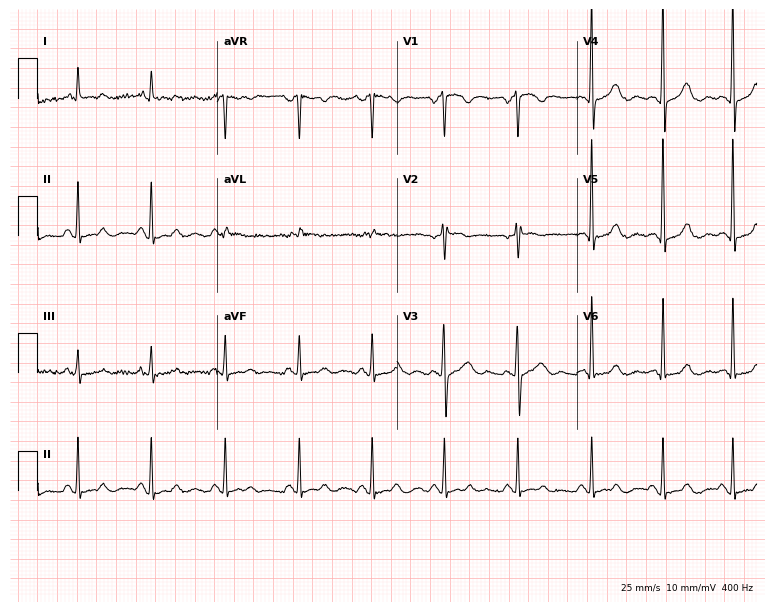
12-lead ECG from a 66-year-old female. Recorded interpretation: within normal limits.